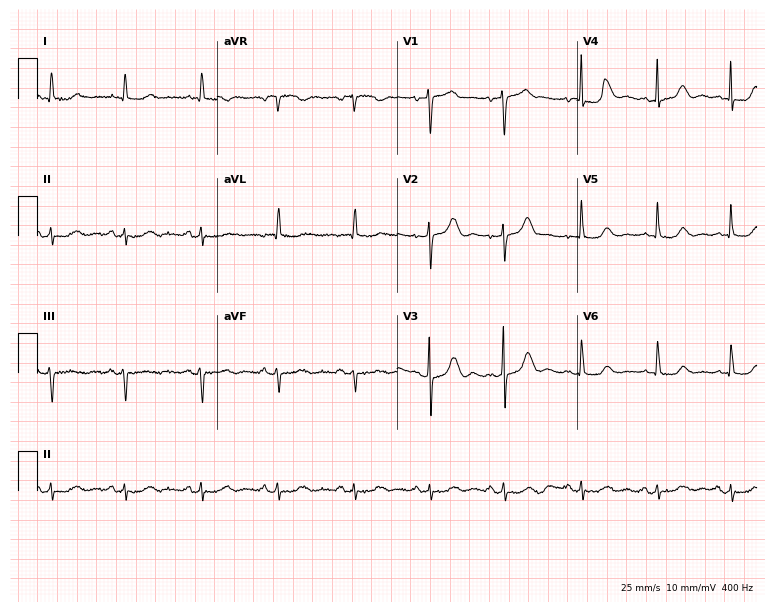
Resting 12-lead electrocardiogram. Patient: a female, 84 years old. None of these six findings is recorded: first-degree AV block, right bundle branch block, left bundle branch block, sinus bradycardia, atrial fibrillation, sinus tachycardia. Other findings, if any, are not listed.